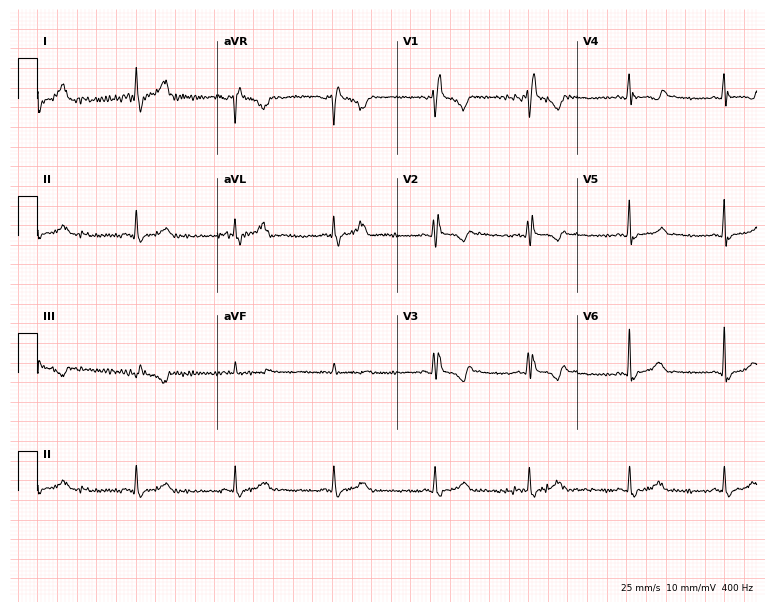
Resting 12-lead electrocardiogram (7.3-second recording at 400 Hz). Patient: a female, 39 years old. None of these six findings is recorded: first-degree AV block, right bundle branch block (RBBB), left bundle branch block (LBBB), sinus bradycardia, atrial fibrillation (AF), sinus tachycardia. Other findings, if any, are not listed.